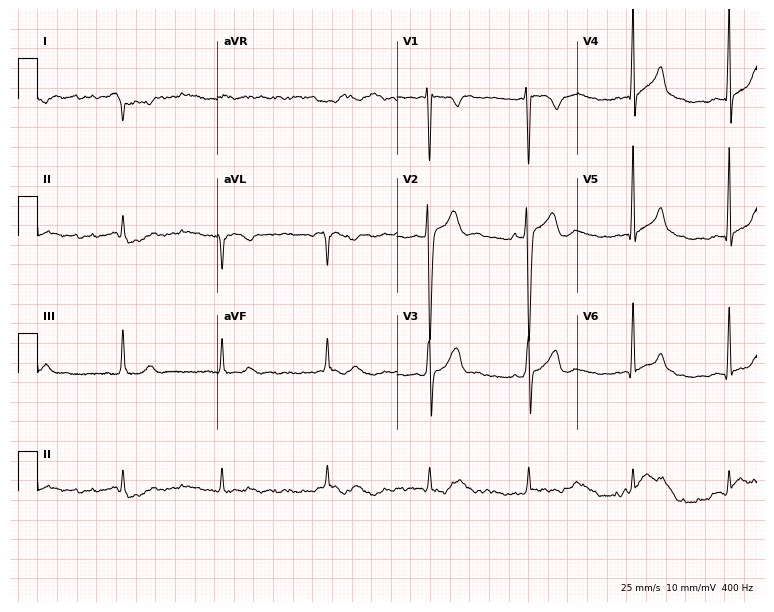
Electrocardiogram, a 29-year-old male. Of the six screened findings (first-degree AV block, right bundle branch block, left bundle branch block, sinus bradycardia, atrial fibrillation, sinus tachycardia), none is recorded. Findings outside these six are not listed.